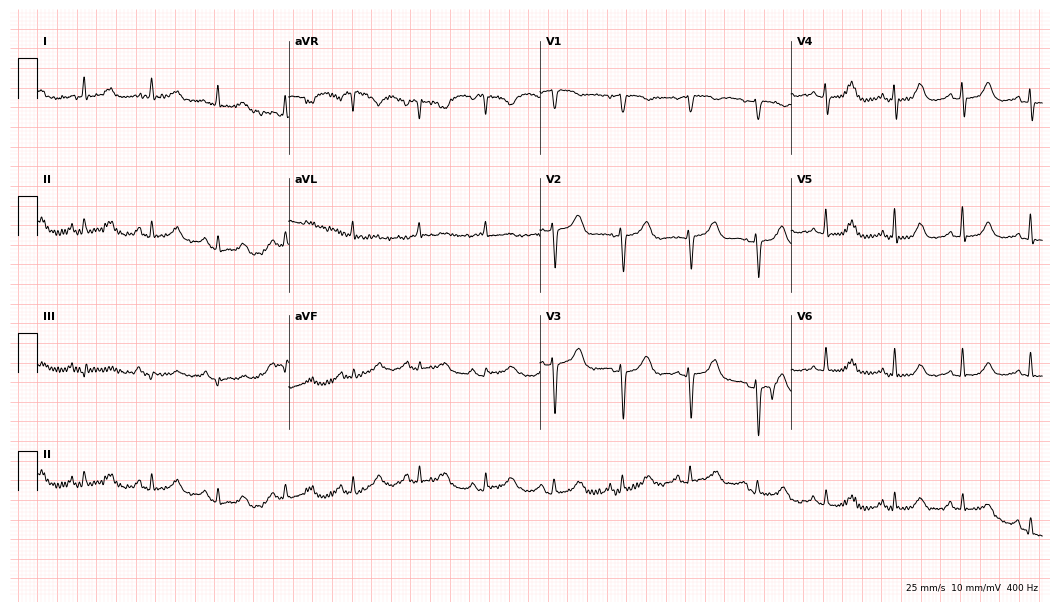
Standard 12-lead ECG recorded from a female patient, 72 years old. Read as a normal ECG.